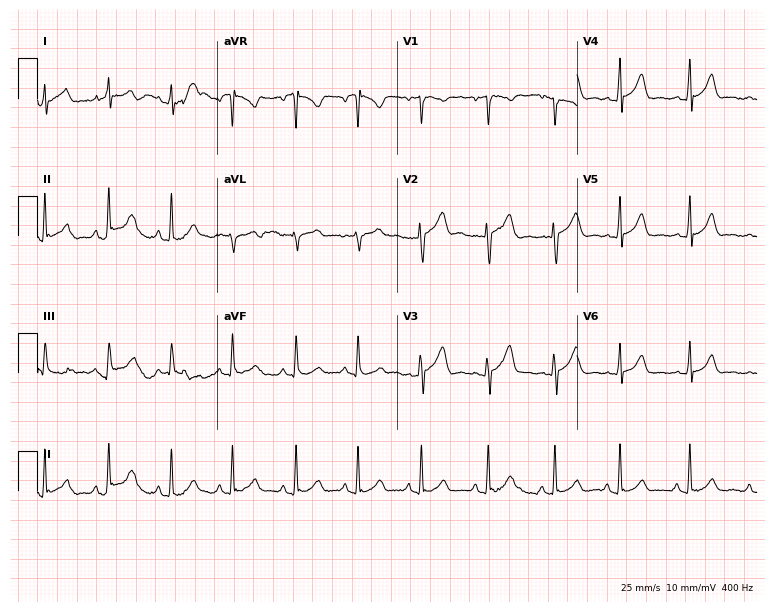
Electrocardiogram (7.3-second recording at 400 Hz), a male patient, 21 years old. Overall reading on record: normal ECG.